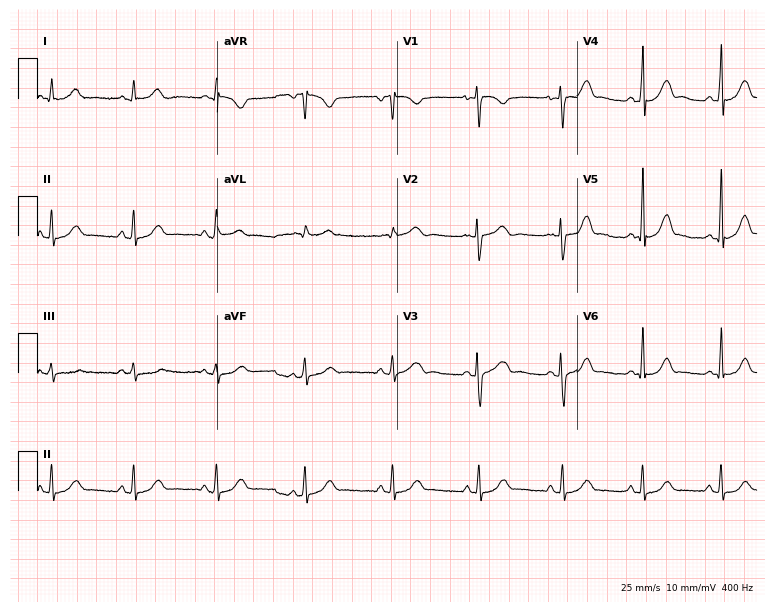
ECG — a 32-year-old woman. Labelled as a normal ECG.